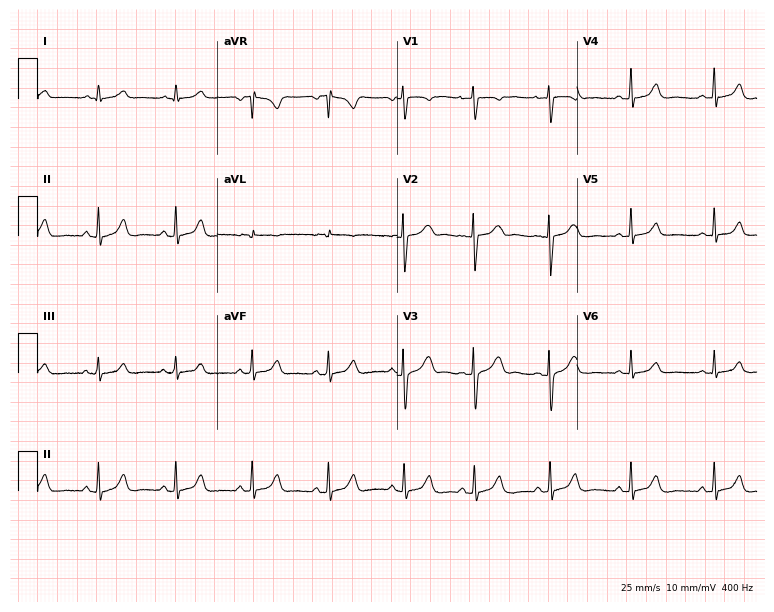
12-lead ECG from a 19-year-old female. Recorded interpretation: within normal limits.